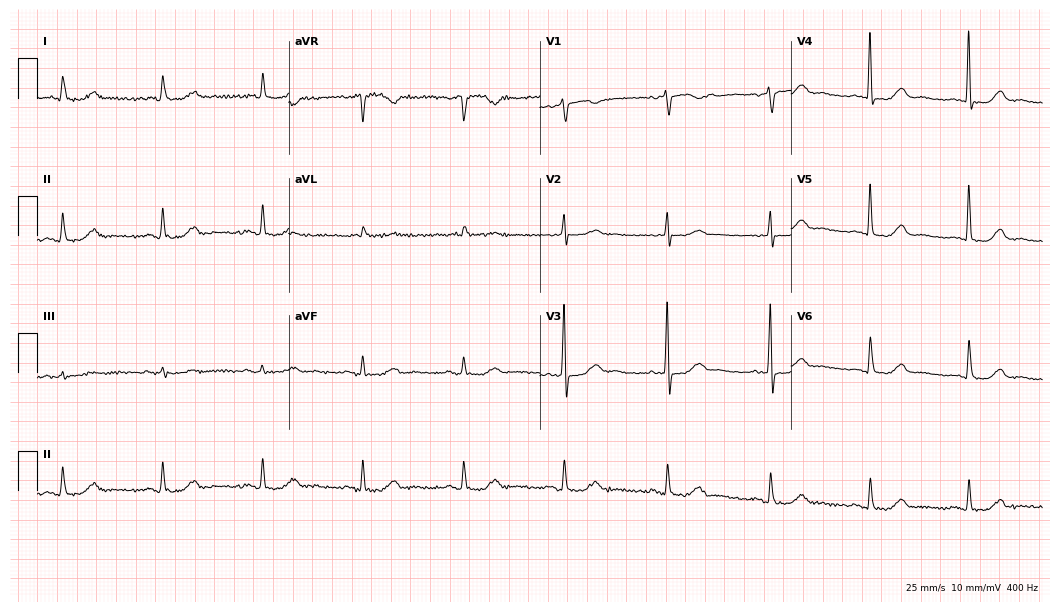
Electrocardiogram (10.2-second recording at 400 Hz), a female patient, 73 years old. Overall reading on record: normal ECG.